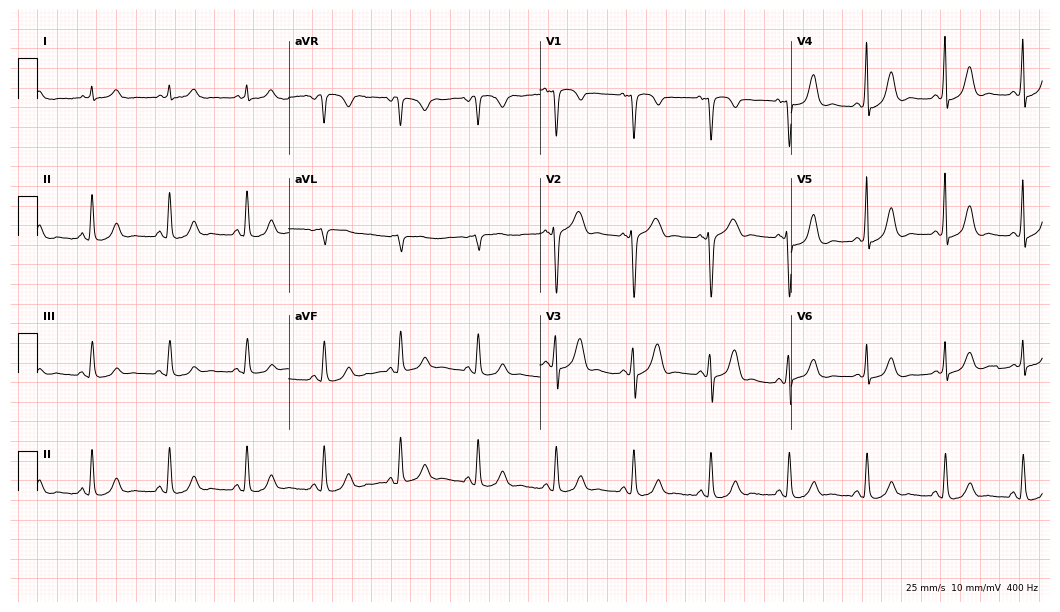
Electrocardiogram, a male patient, 64 years old. Overall reading on record: normal ECG.